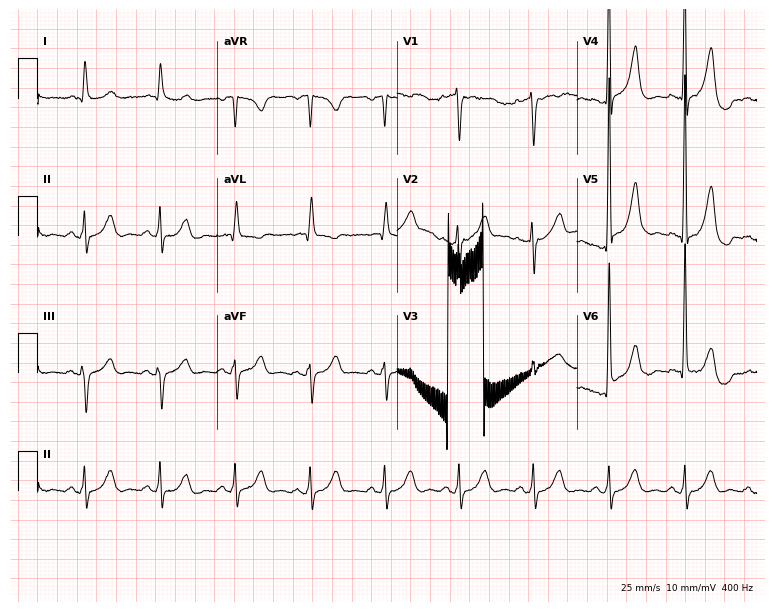
ECG — a 57-year-old male patient. Screened for six findings — first-degree AV block, right bundle branch block, left bundle branch block, sinus bradycardia, atrial fibrillation, sinus tachycardia — none is recorded. Only these six findings were labelled.